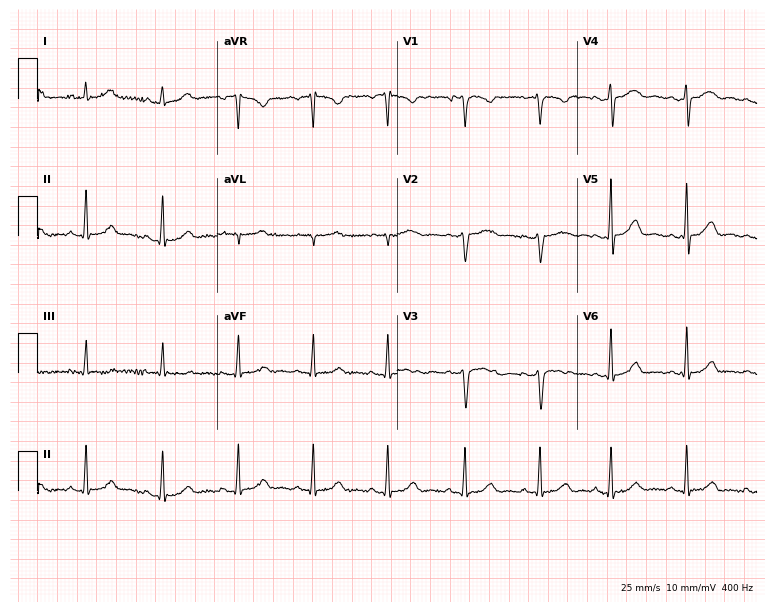
12-lead ECG from a woman, 26 years old. Screened for six findings — first-degree AV block, right bundle branch block, left bundle branch block, sinus bradycardia, atrial fibrillation, sinus tachycardia — none is recorded. Other findings, if any, are not listed.